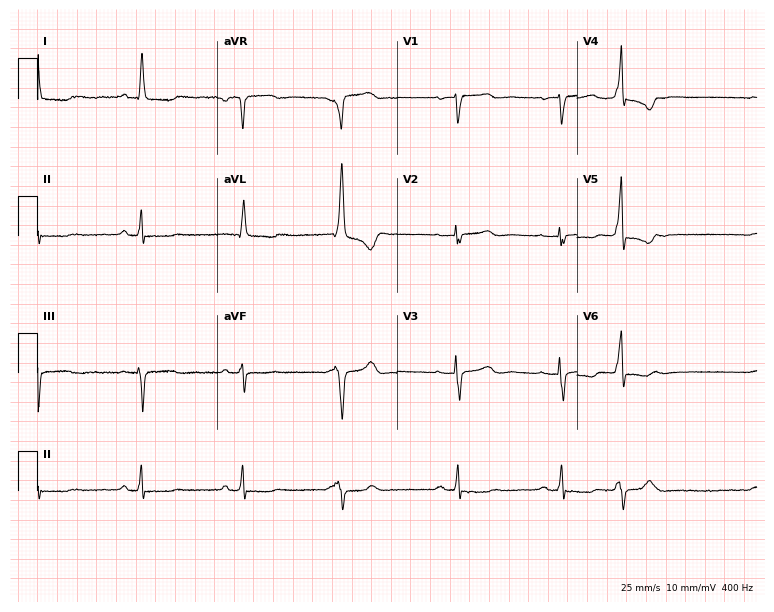
Electrocardiogram (7.3-second recording at 400 Hz), a 54-year-old woman. Of the six screened findings (first-degree AV block, right bundle branch block, left bundle branch block, sinus bradycardia, atrial fibrillation, sinus tachycardia), none is recorded.